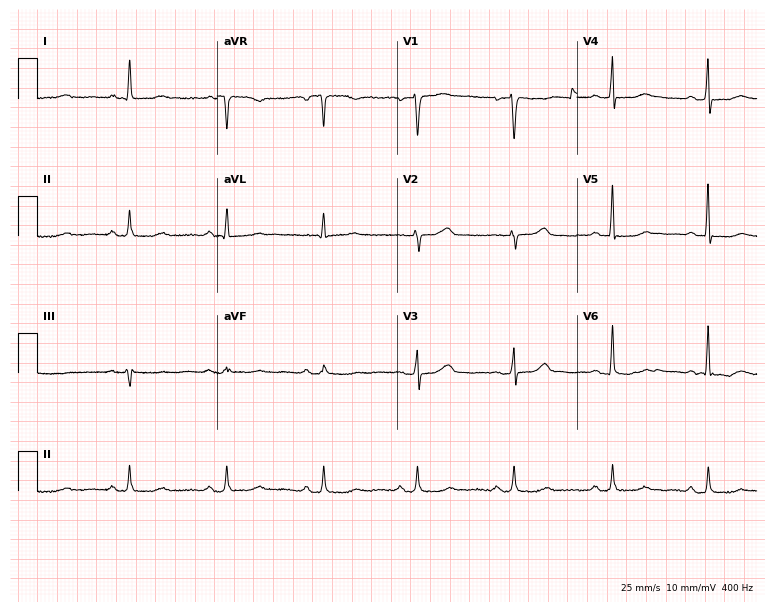
Electrocardiogram, a female patient, 54 years old. Of the six screened findings (first-degree AV block, right bundle branch block (RBBB), left bundle branch block (LBBB), sinus bradycardia, atrial fibrillation (AF), sinus tachycardia), none is recorded.